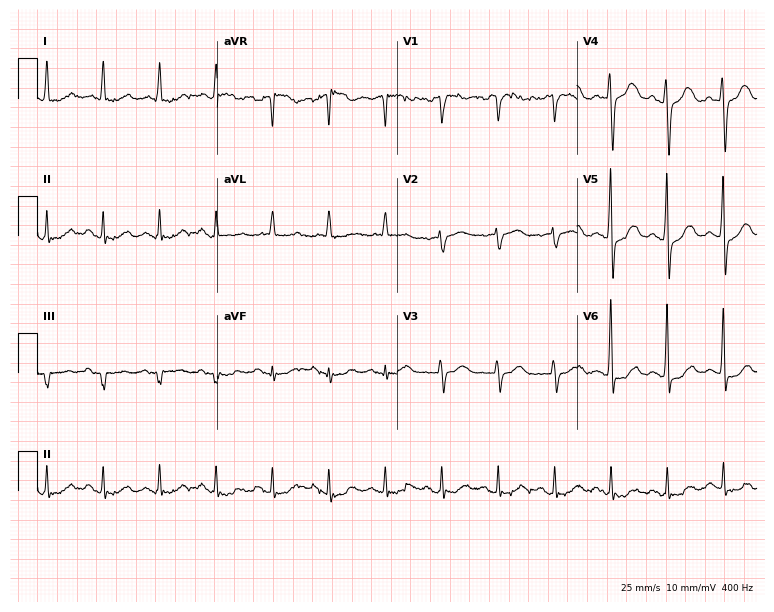
12-lead ECG from a male patient, 85 years old (7.3-second recording at 400 Hz). No first-degree AV block, right bundle branch block, left bundle branch block, sinus bradycardia, atrial fibrillation or sinus tachycardia recorded for this tracing. Findings outside these six are not listed.